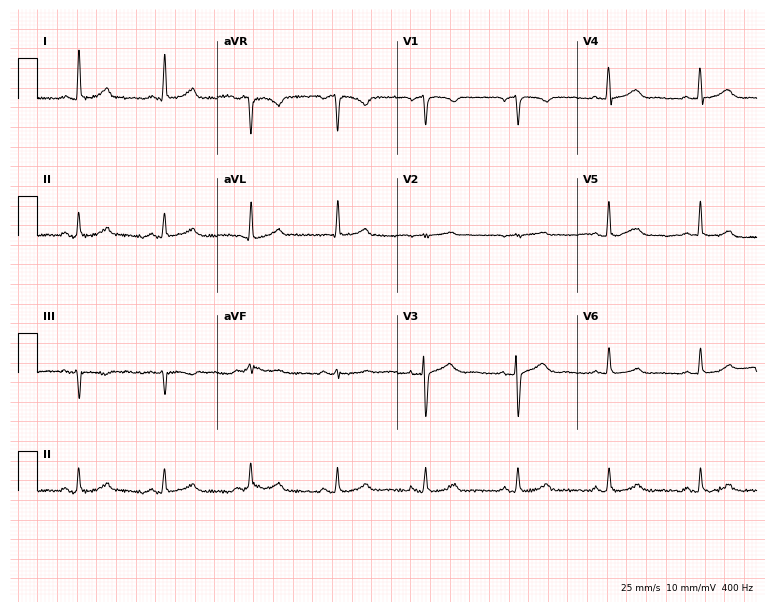
Electrocardiogram (7.3-second recording at 400 Hz), a 59-year-old female. Of the six screened findings (first-degree AV block, right bundle branch block, left bundle branch block, sinus bradycardia, atrial fibrillation, sinus tachycardia), none is recorded.